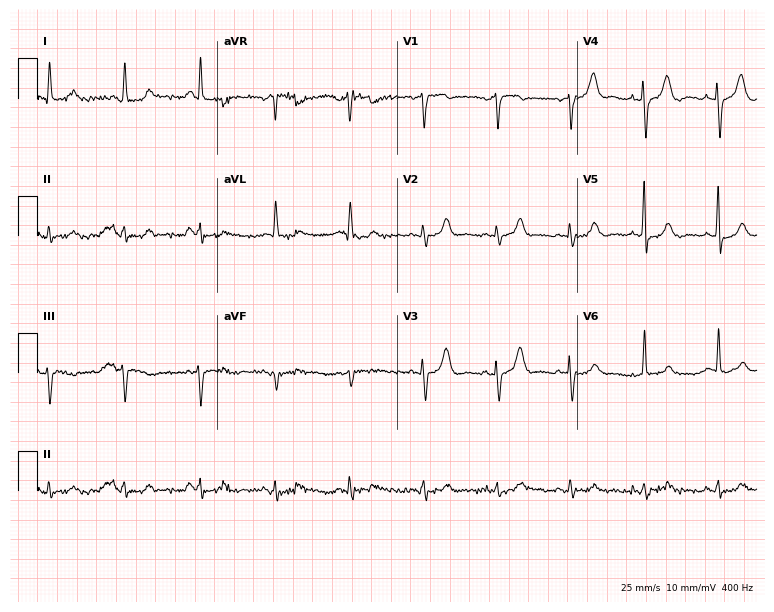
Standard 12-lead ECG recorded from a 77-year-old female patient. None of these six findings is recorded: first-degree AV block, right bundle branch block (RBBB), left bundle branch block (LBBB), sinus bradycardia, atrial fibrillation (AF), sinus tachycardia.